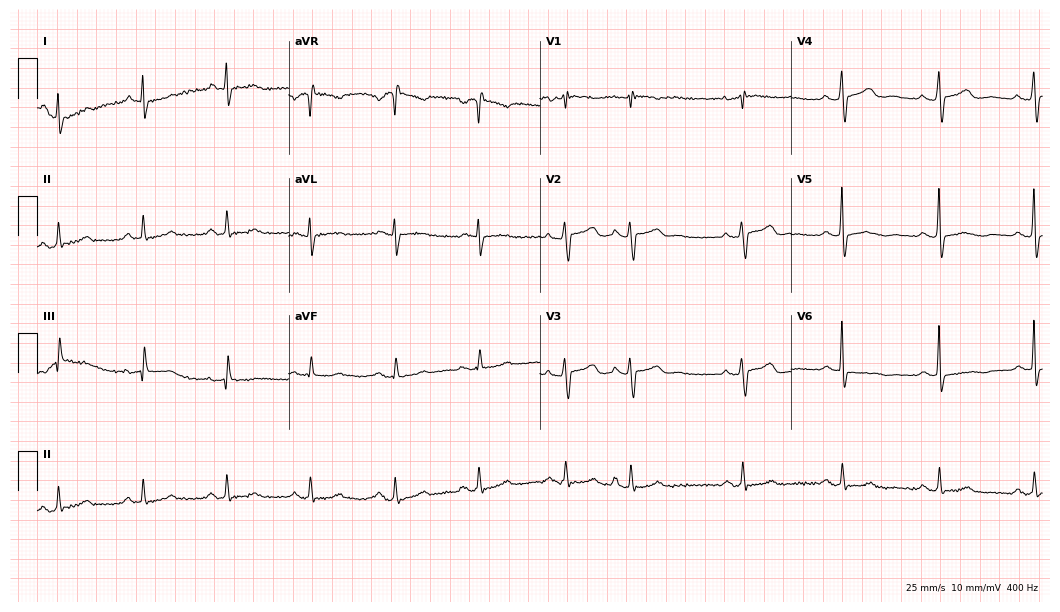
Electrocardiogram (10.2-second recording at 400 Hz), a 63-year-old woman. Of the six screened findings (first-degree AV block, right bundle branch block, left bundle branch block, sinus bradycardia, atrial fibrillation, sinus tachycardia), none is recorded.